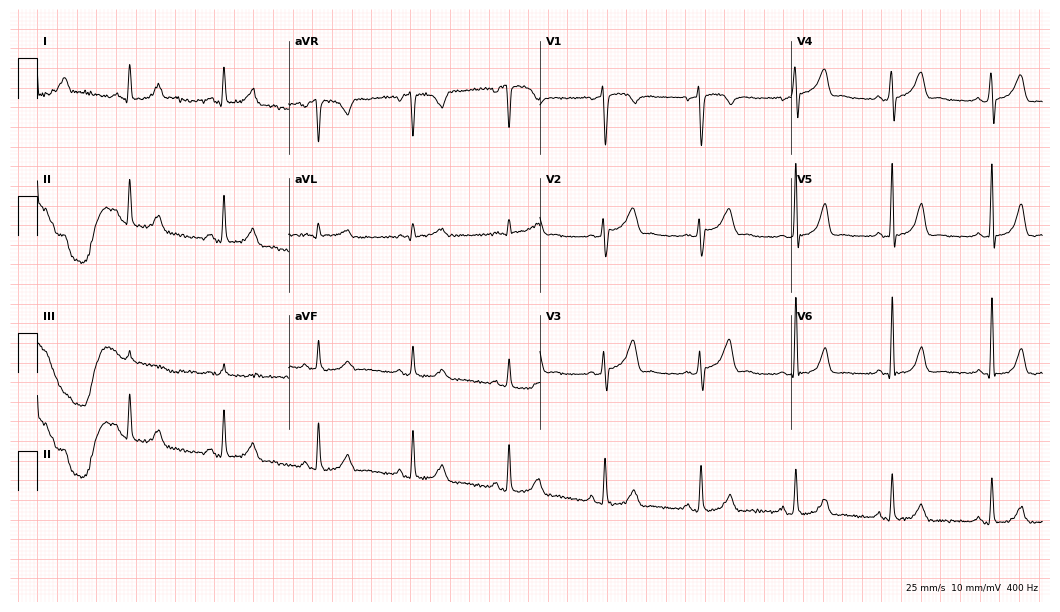
Standard 12-lead ECG recorded from a female patient, 46 years old (10.2-second recording at 400 Hz). Read as a normal ECG.